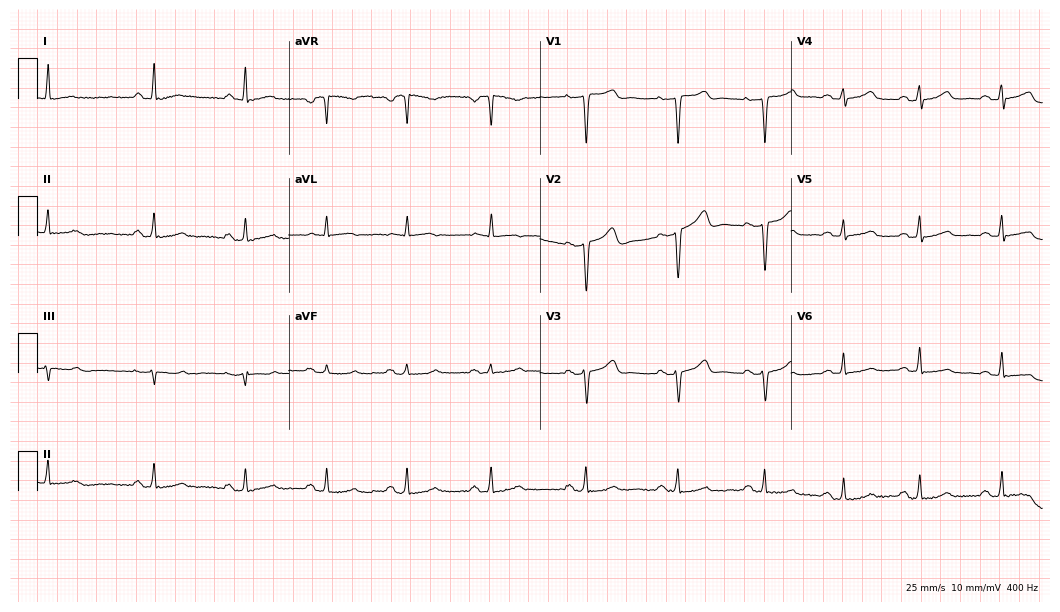
Standard 12-lead ECG recorded from a 52-year-old female (10.2-second recording at 400 Hz). Read as a normal ECG.